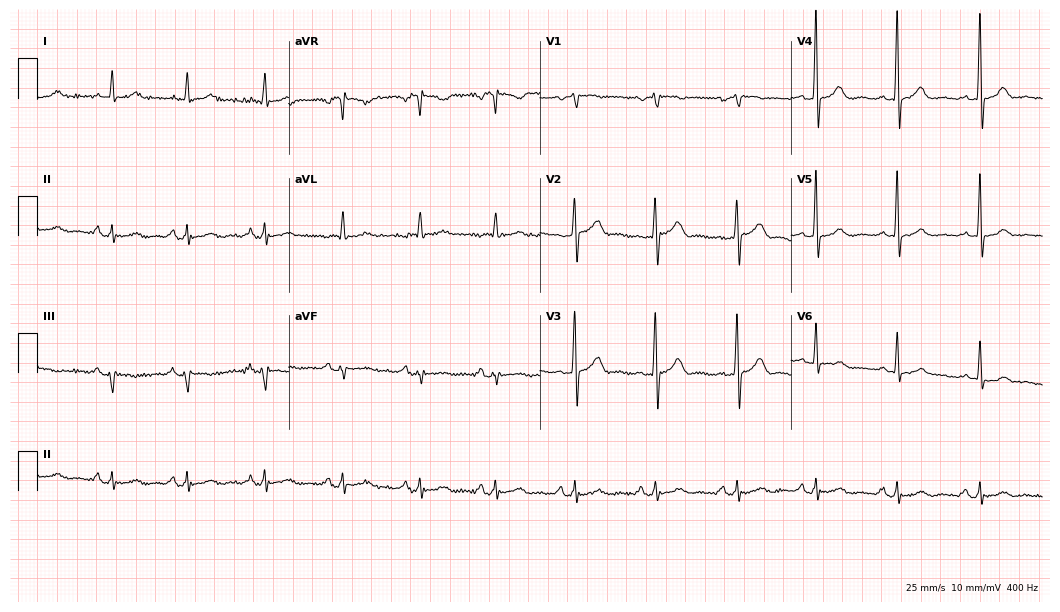
Electrocardiogram (10.2-second recording at 400 Hz), a male, 57 years old. Overall reading on record: normal ECG.